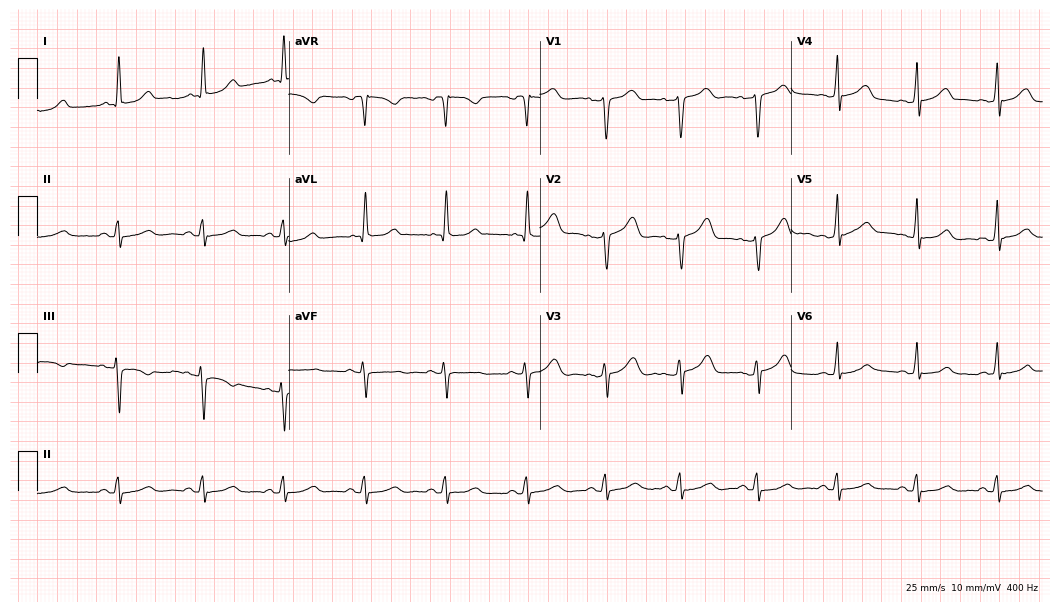
12-lead ECG from a female patient, 62 years old (10.2-second recording at 400 Hz). Recorded interpretation: within normal limits.